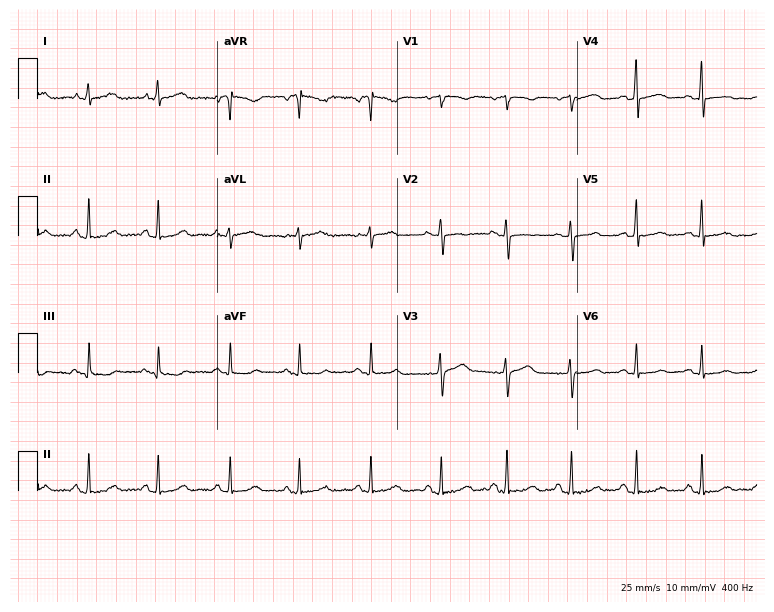
Standard 12-lead ECG recorded from a 33-year-old woman (7.3-second recording at 400 Hz). Read as a normal ECG.